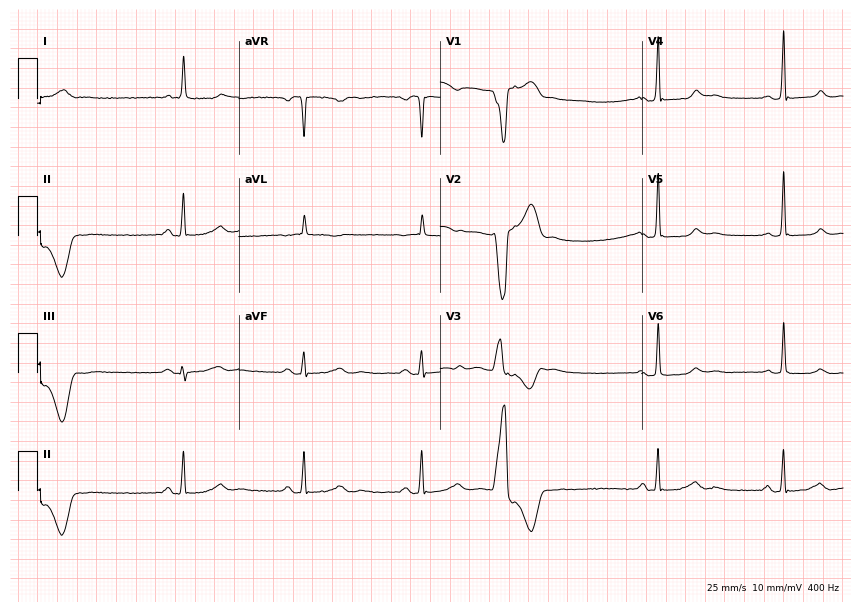
12-lead ECG (8.2-second recording at 400 Hz) from a 59-year-old woman. Screened for six findings — first-degree AV block, right bundle branch block, left bundle branch block, sinus bradycardia, atrial fibrillation, sinus tachycardia — none is recorded.